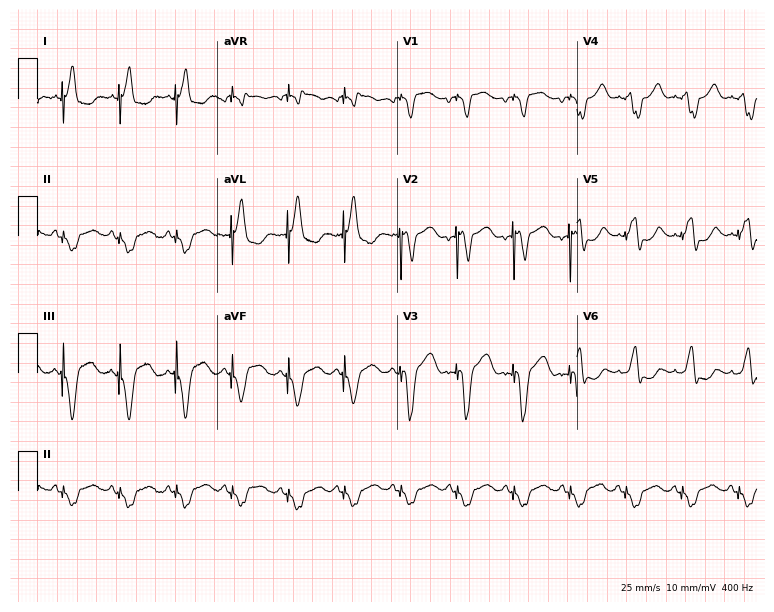
Resting 12-lead electrocardiogram. Patient: a 61-year-old woman. None of these six findings is recorded: first-degree AV block, right bundle branch block (RBBB), left bundle branch block (LBBB), sinus bradycardia, atrial fibrillation (AF), sinus tachycardia. Only these six findings were labelled.